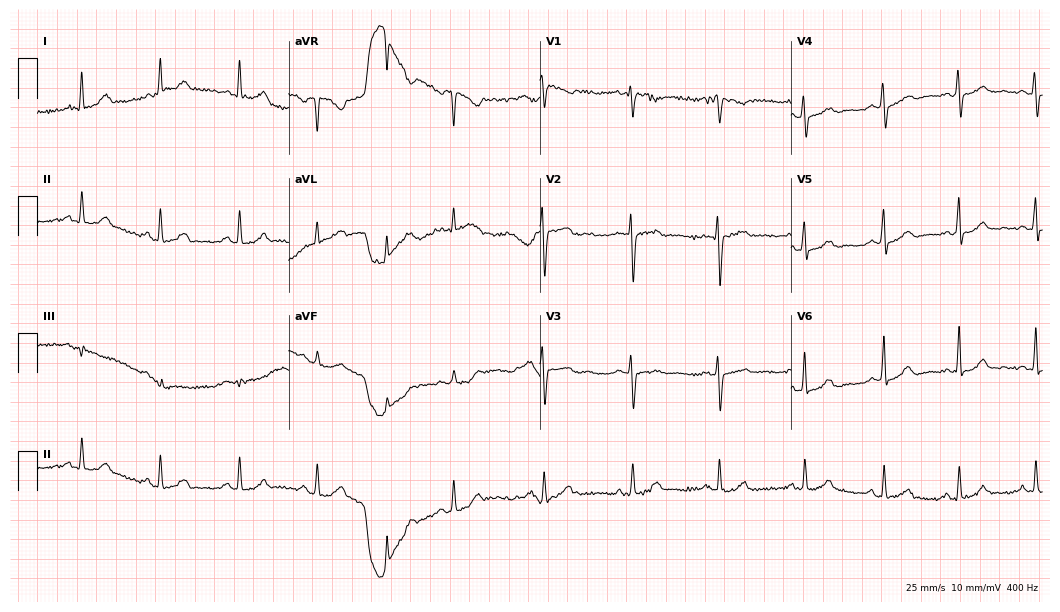
Standard 12-lead ECG recorded from a female, 30 years old (10.2-second recording at 400 Hz). Read as a normal ECG.